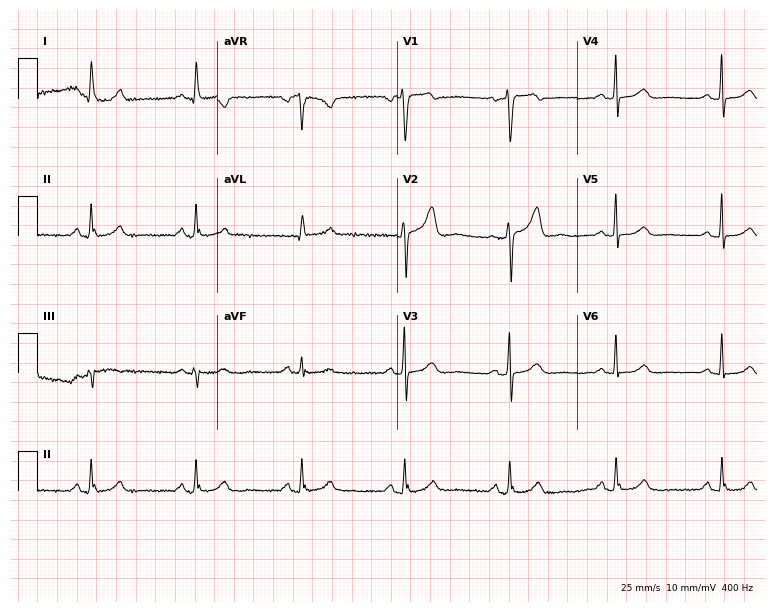
Standard 12-lead ECG recorded from a female patient, 49 years old (7.3-second recording at 400 Hz). Read as a normal ECG.